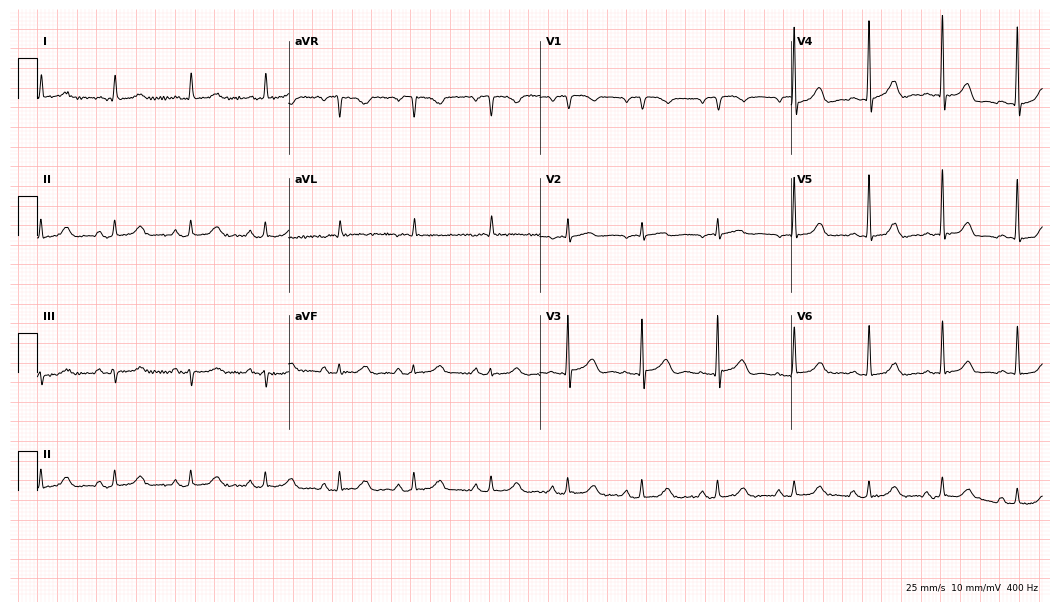
12-lead ECG from an 84-year-old woman. No first-degree AV block, right bundle branch block (RBBB), left bundle branch block (LBBB), sinus bradycardia, atrial fibrillation (AF) or sinus tachycardia recorded for this tracing.